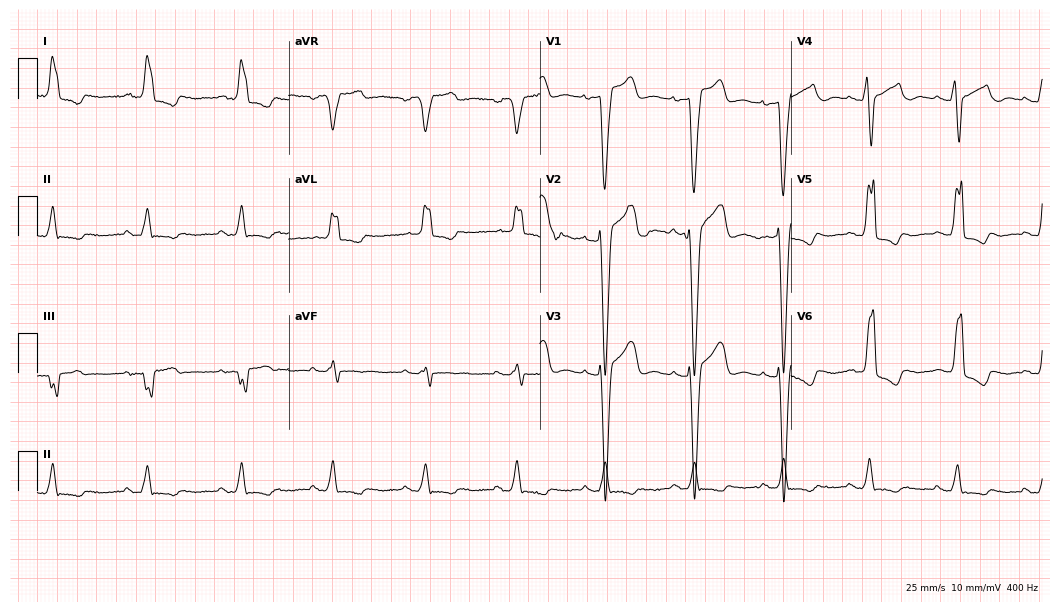
12-lead ECG from a 72-year-old female patient (10.2-second recording at 400 Hz). Shows left bundle branch block (LBBB).